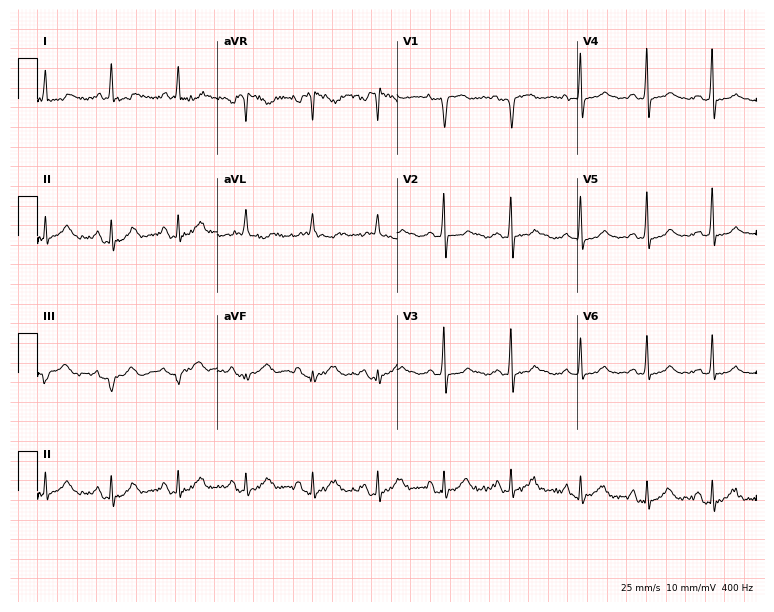
12-lead ECG from a 71-year-old female. Screened for six findings — first-degree AV block, right bundle branch block, left bundle branch block, sinus bradycardia, atrial fibrillation, sinus tachycardia — none is recorded.